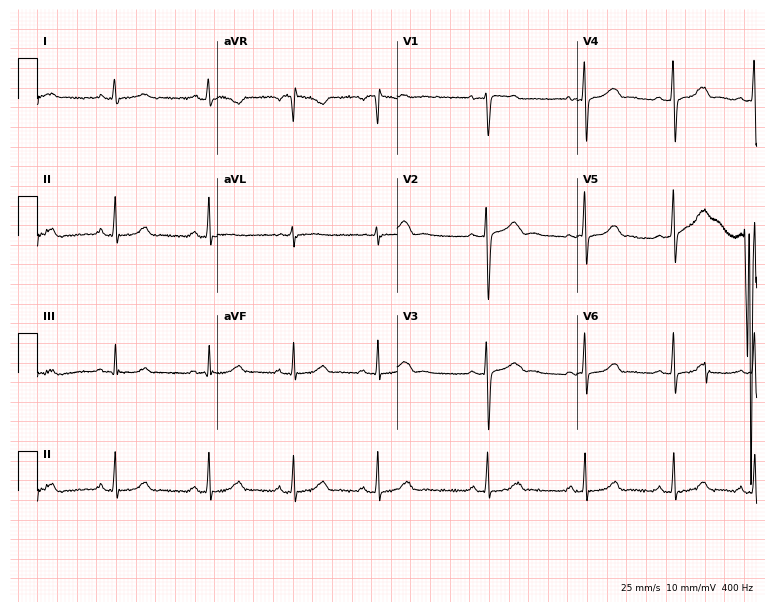
ECG — a 26-year-old woman. Labelled as a normal ECG.